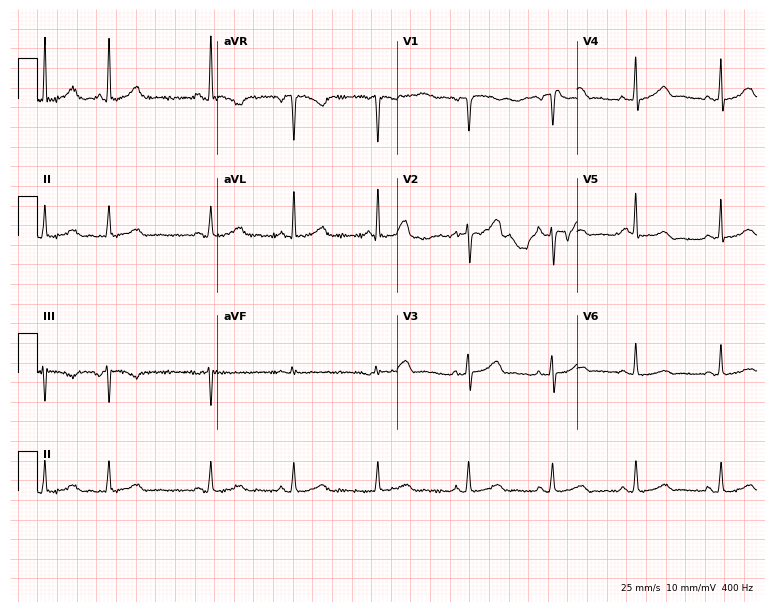
Electrocardiogram (7.3-second recording at 400 Hz), a 58-year-old female patient. Of the six screened findings (first-degree AV block, right bundle branch block, left bundle branch block, sinus bradycardia, atrial fibrillation, sinus tachycardia), none is recorded.